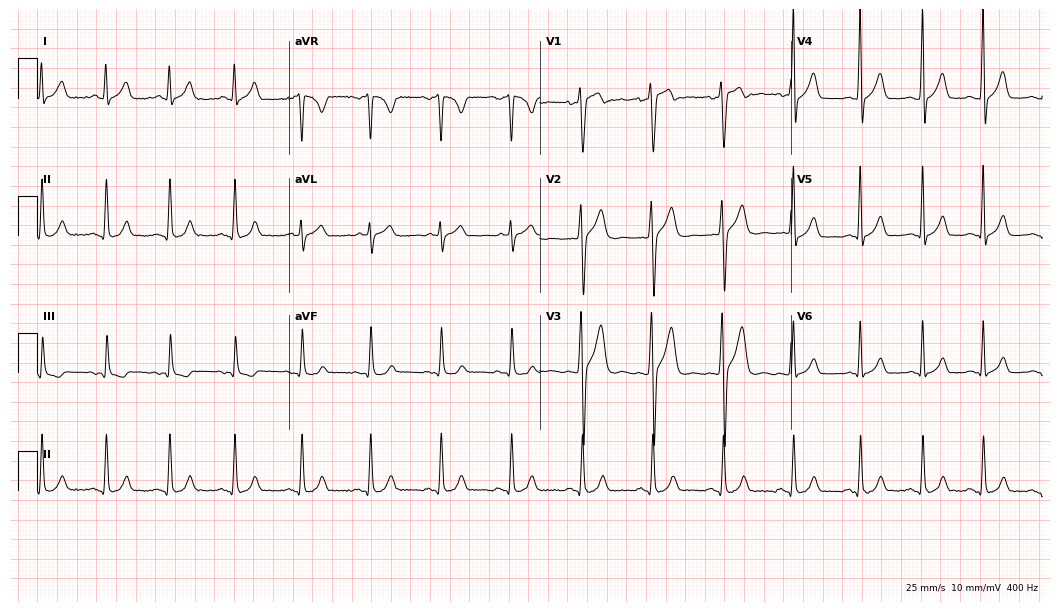
ECG — a 44-year-old male. Labelled as a normal ECG.